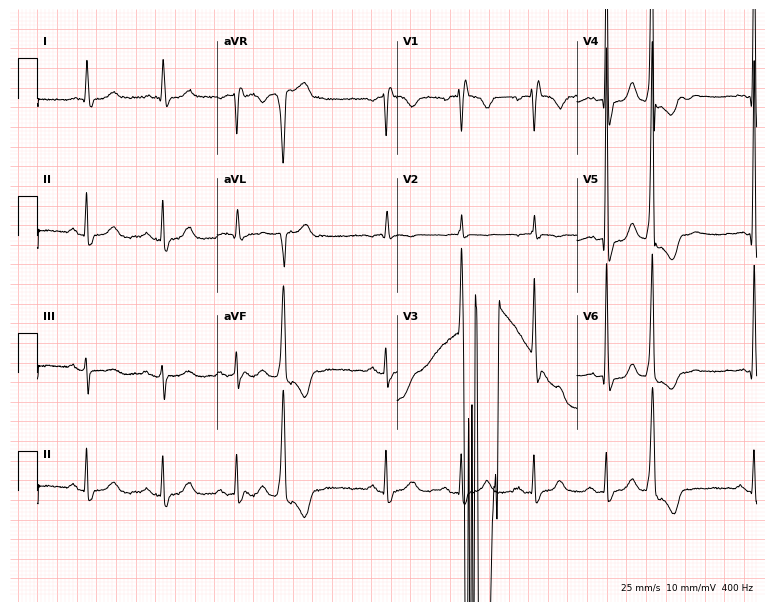
ECG — a 71-year-old female. Findings include right bundle branch block.